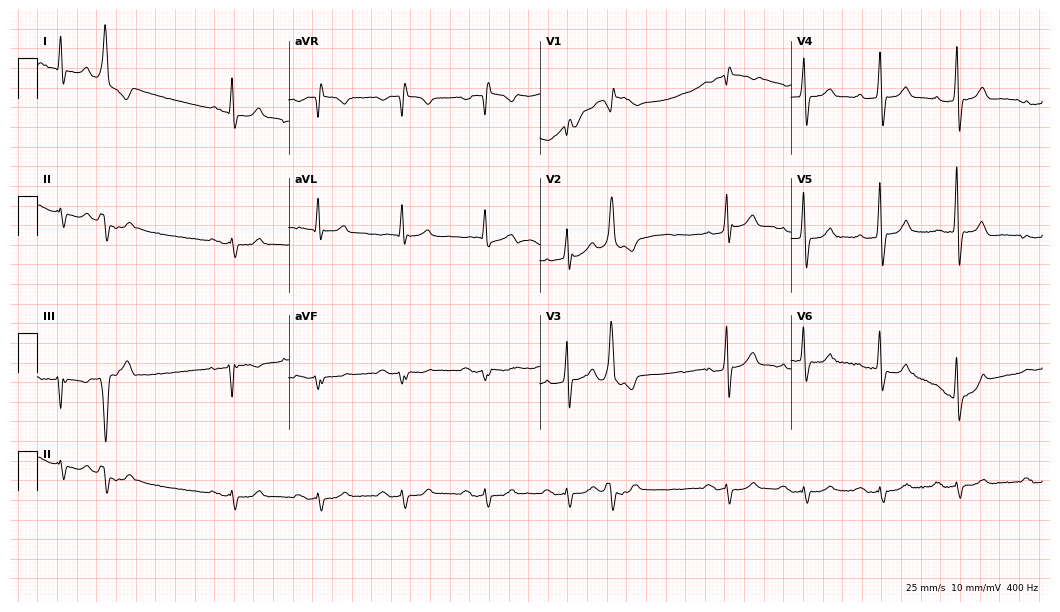
ECG (10.2-second recording at 400 Hz) — a 71-year-old male. Screened for six findings — first-degree AV block, right bundle branch block, left bundle branch block, sinus bradycardia, atrial fibrillation, sinus tachycardia — none is recorded.